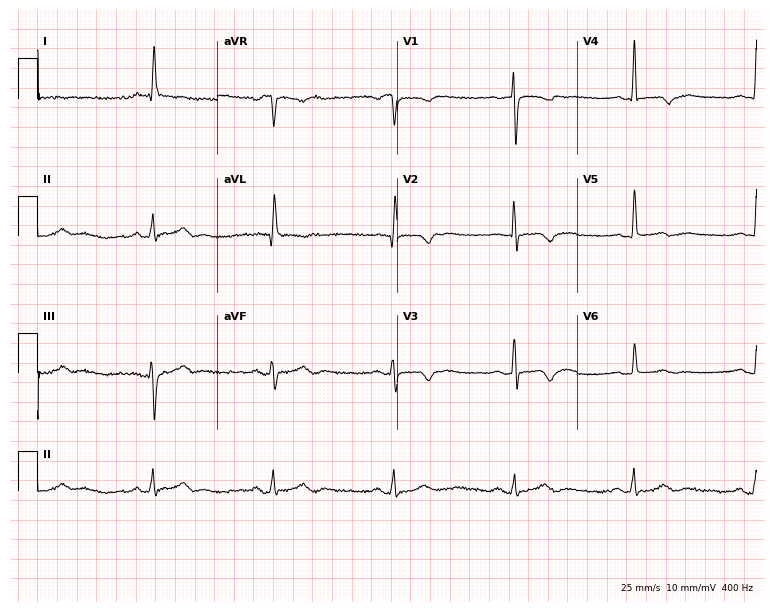
Standard 12-lead ECG recorded from a female, 87 years old. None of these six findings is recorded: first-degree AV block, right bundle branch block, left bundle branch block, sinus bradycardia, atrial fibrillation, sinus tachycardia. Other findings, if any, are not listed.